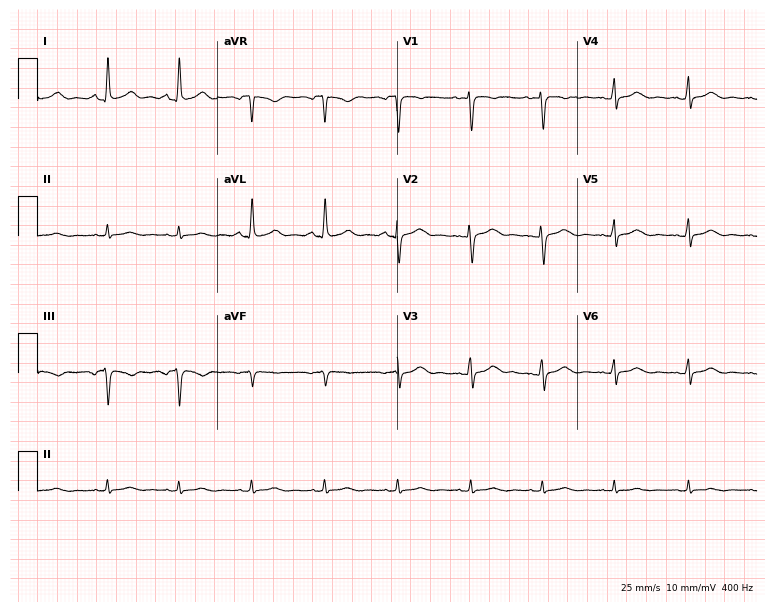
Resting 12-lead electrocardiogram (7.3-second recording at 400 Hz). Patient: a female, 28 years old. None of these six findings is recorded: first-degree AV block, right bundle branch block, left bundle branch block, sinus bradycardia, atrial fibrillation, sinus tachycardia.